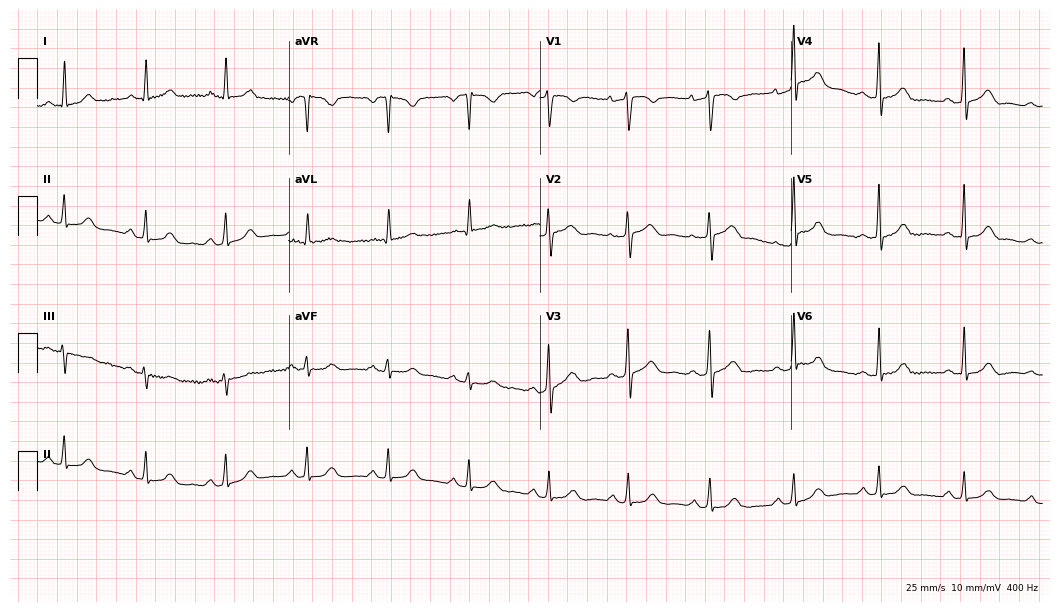
Standard 12-lead ECG recorded from a female, 41 years old (10.2-second recording at 400 Hz). Read as a normal ECG.